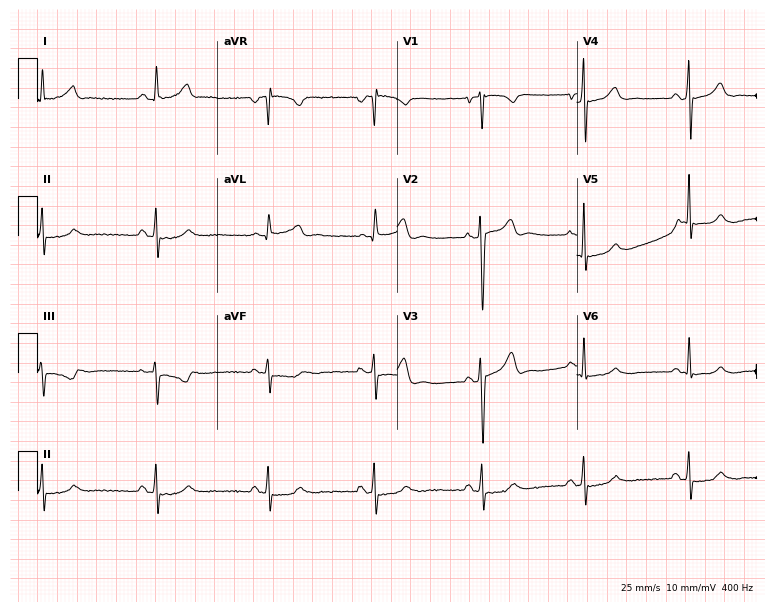
Standard 12-lead ECG recorded from a 38-year-old female patient. None of these six findings is recorded: first-degree AV block, right bundle branch block (RBBB), left bundle branch block (LBBB), sinus bradycardia, atrial fibrillation (AF), sinus tachycardia. Only these six findings were labelled.